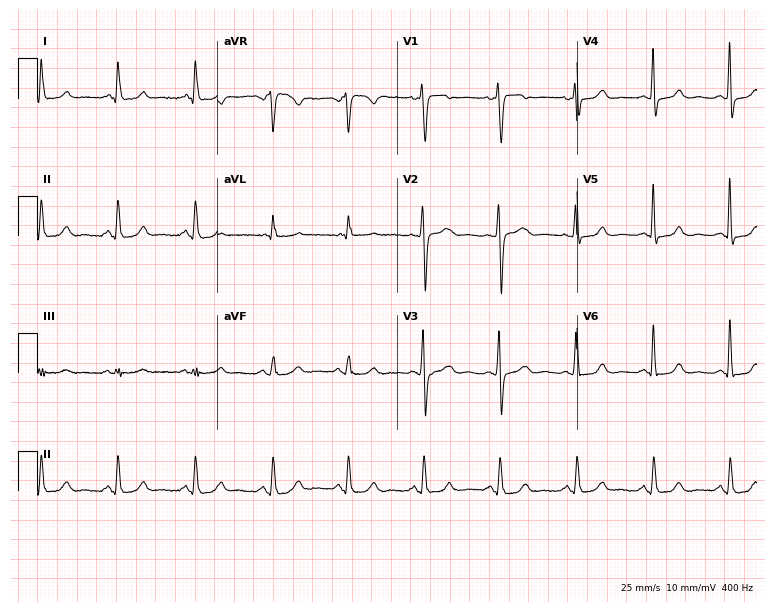
Resting 12-lead electrocardiogram. Patient: a female, 55 years old. Read as a normal ECG.